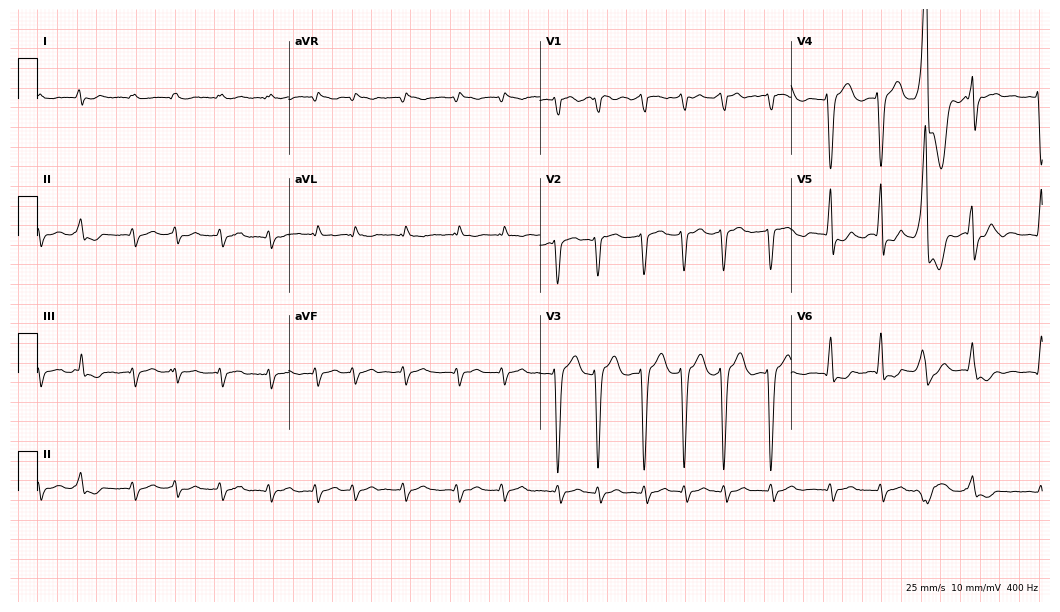
12-lead ECG (10.2-second recording at 400 Hz) from a male, 67 years old. Findings include atrial fibrillation.